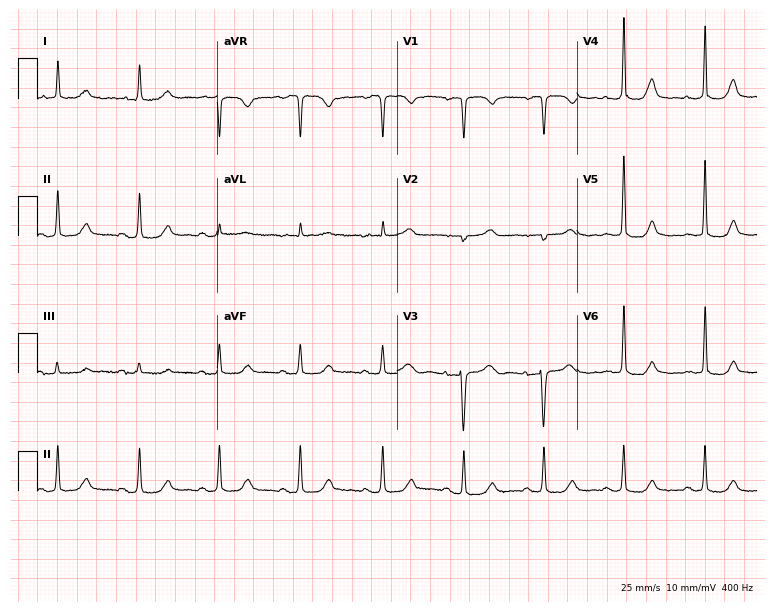
ECG (7.3-second recording at 400 Hz) — an 82-year-old female. Labelled as a normal ECG.